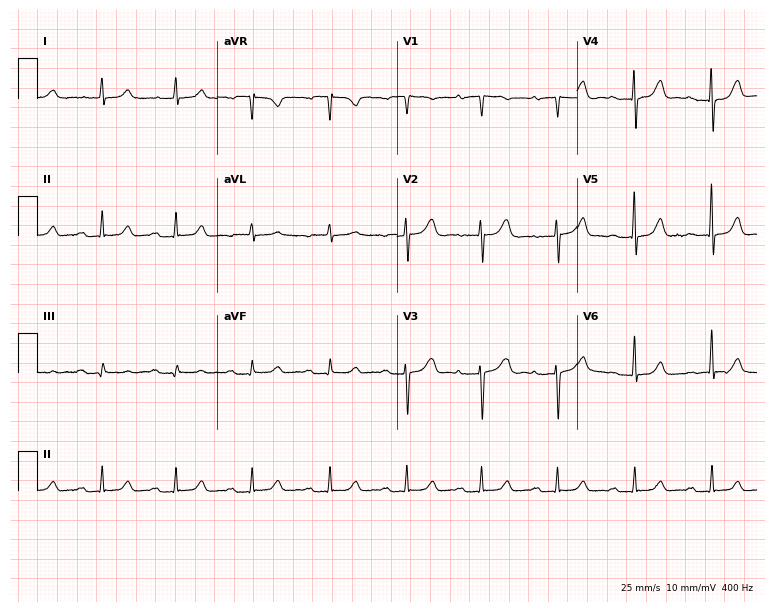
12-lead ECG from a female patient, 81 years old. Shows first-degree AV block.